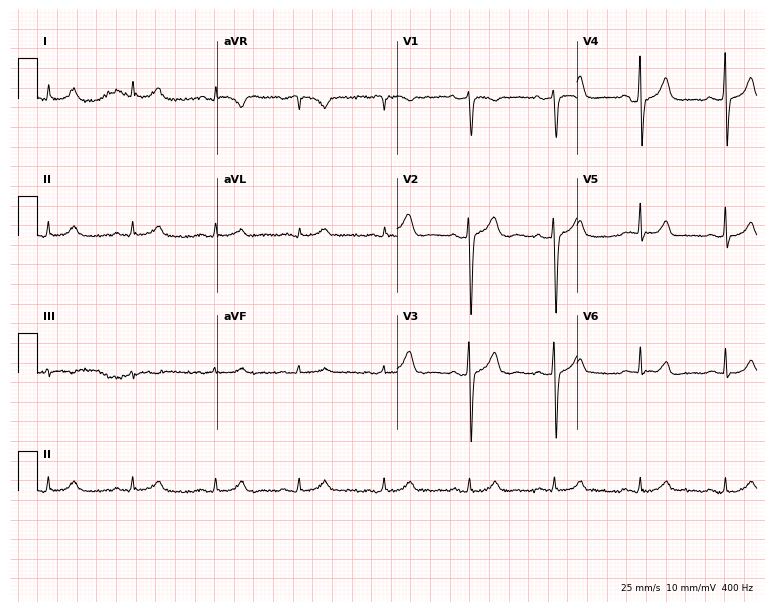
Resting 12-lead electrocardiogram. Patient: a 43-year-old man. None of these six findings is recorded: first-degree AV block, right bundle branch block, left bundle branch block, sinus bradycardia, atrial fibrillation, sinus tachycardia. Other findings, if any, are not listed.